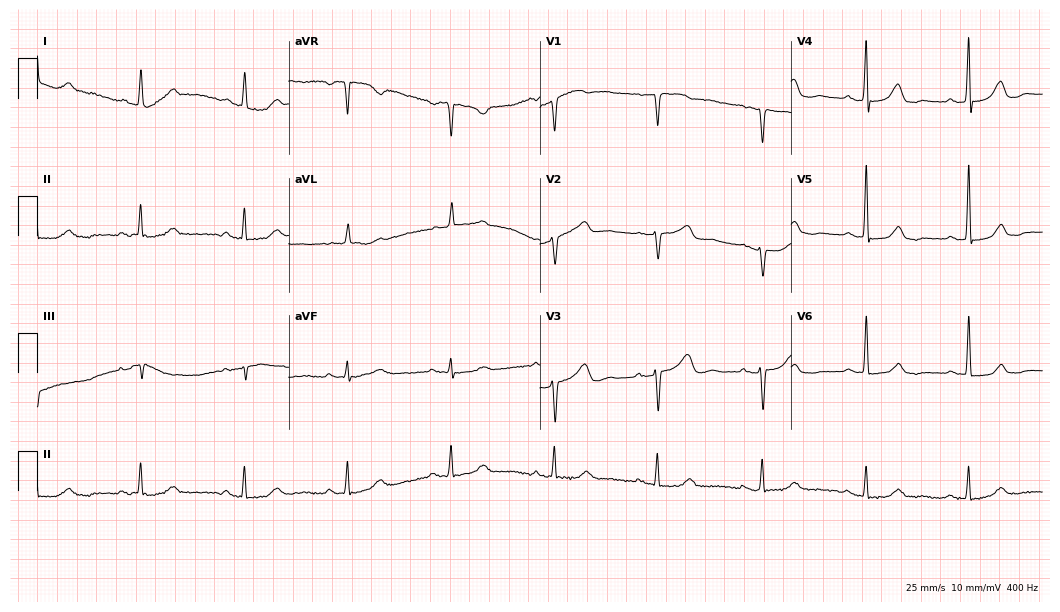
Electrocardiogram, a female patient, 64 years old. Overall reading on record: normal ECG.